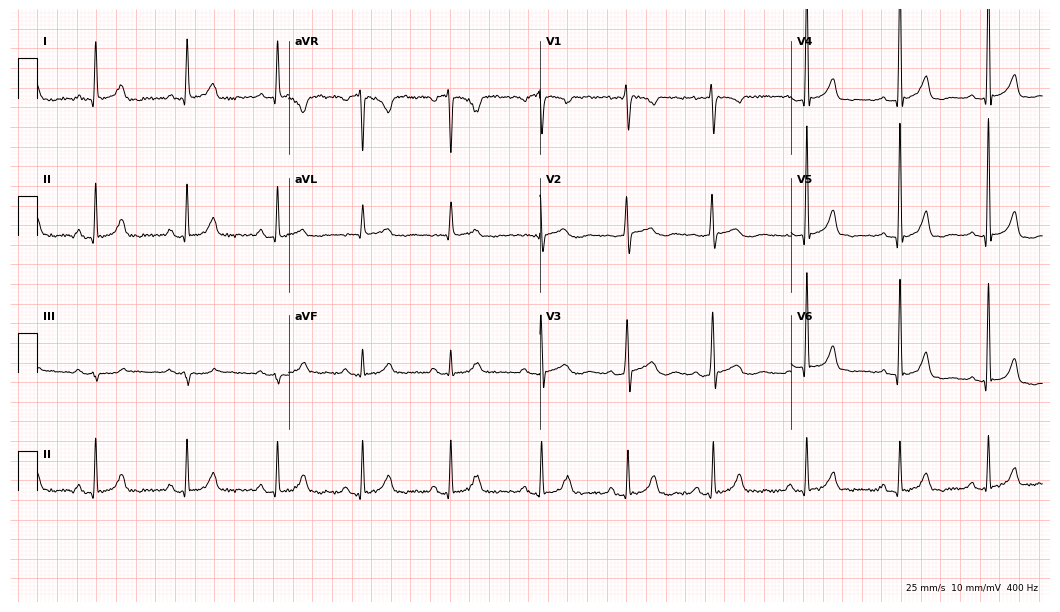
12-lead ECG (10.2-second recording at 400 Hz) from a female patient, 48 years old. Screened for six findings — first-degree AV block, right bundle branch block, left bundle branch block, sinus bradycardia, atrial fibrillation, sinus tachycardia — none is recorded.